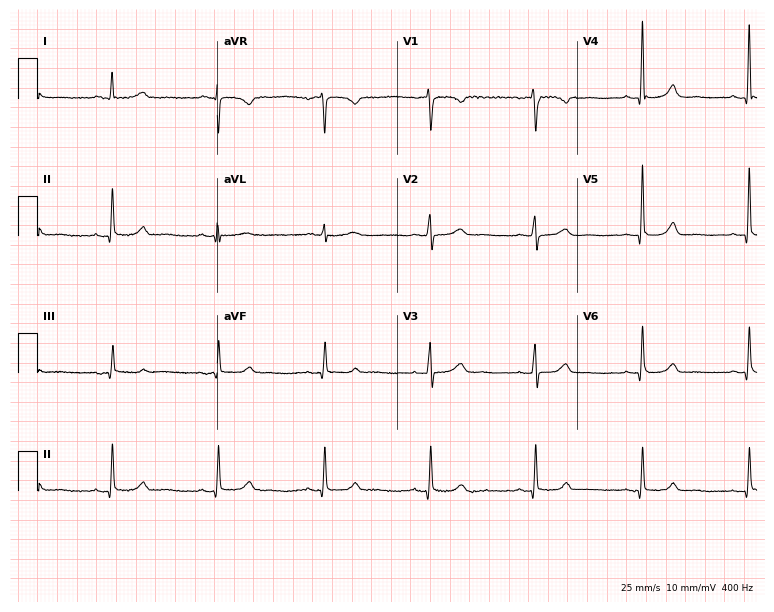
Standard 12-lead ECG recorded from a 68-year-old female patient. Read as a normal ECG.